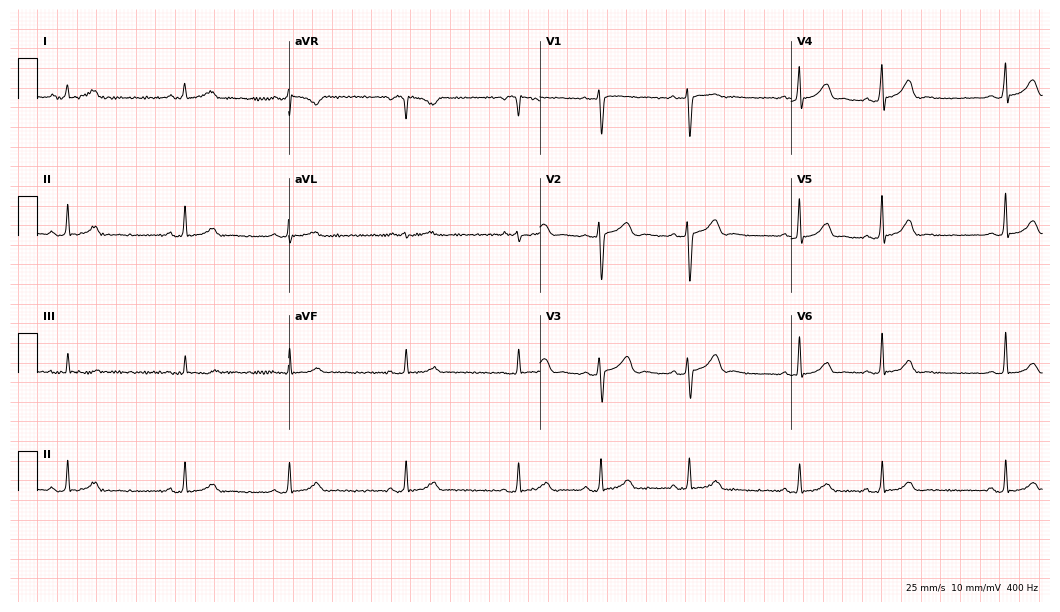
Resting 12-lead electrocardiogram (10.2-second recording at 400 Hz). Patient: a 22-year-old female. Read as a normal ECG.